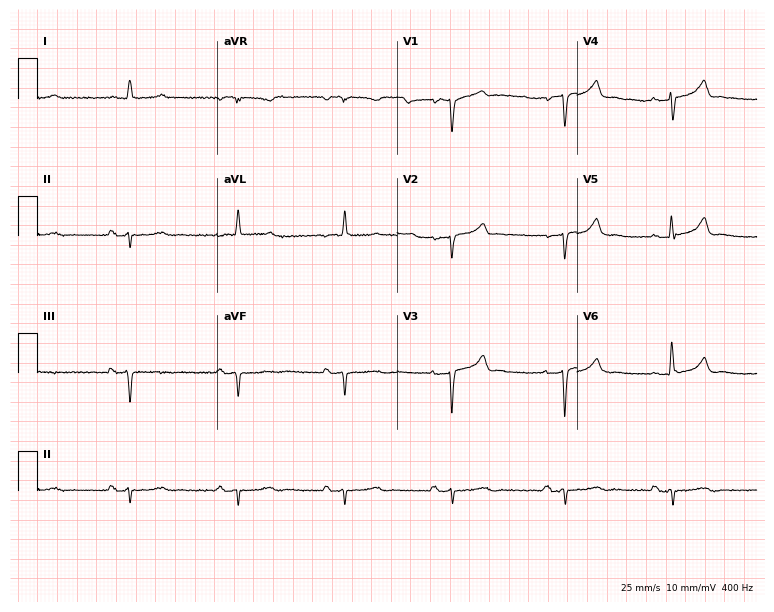
Standard 12-lead ECG recorded from an 86-year-old man. None of these six findings is recorded: first-degree AV block, right bundle branch block, left bundle branch block, sinus bradycardia, atrial fibrillation, sinus tachycardia.